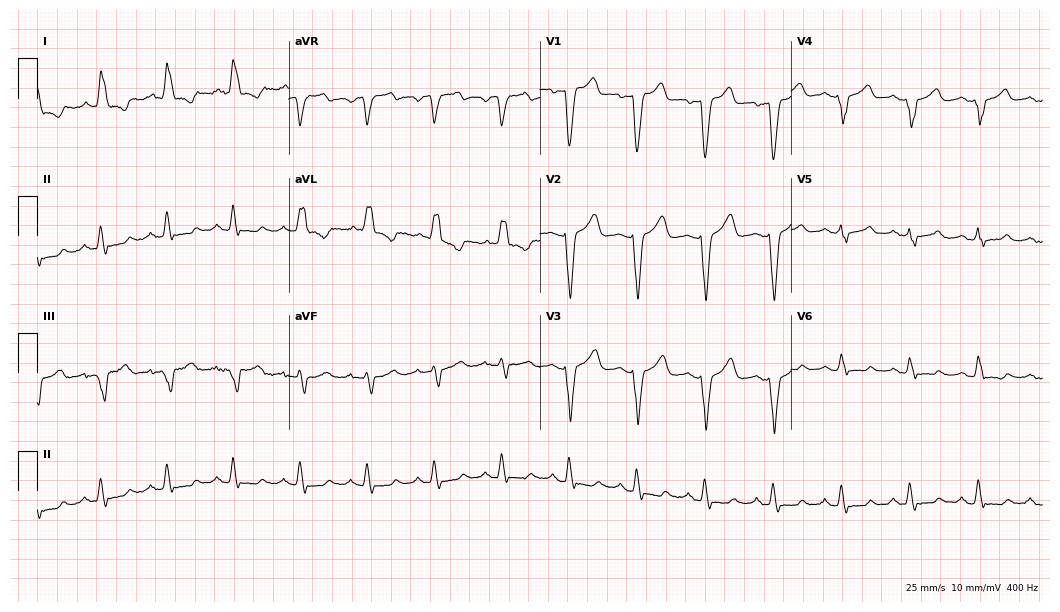
Resting 12-lead electrocardiogram. Patient: a 73-year-old woman. The tracing shows left bundle branch block.